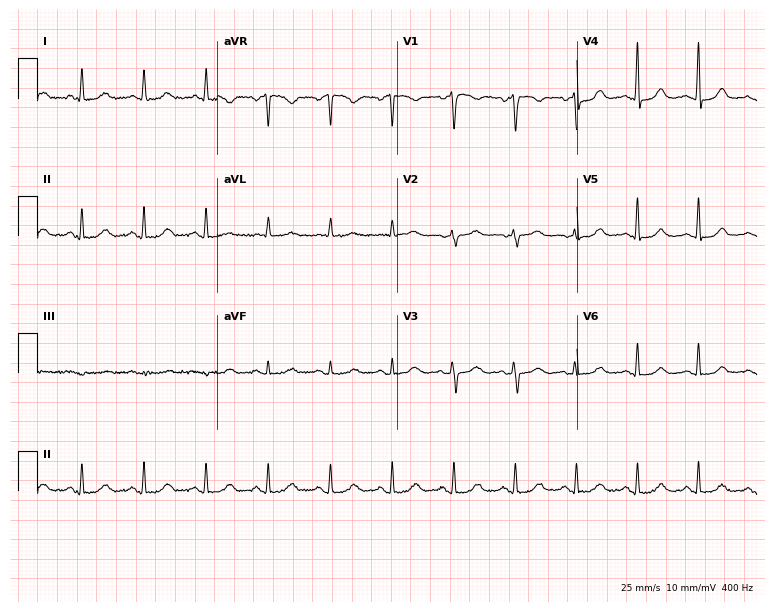
ECG — a female patient, 73 years old. Screened for six findings — first-degree AV block, right bundle branch block, left bundle branch block, sinus bradycardia, atrial fibrillation, sinus tachycardia — none is recorded.